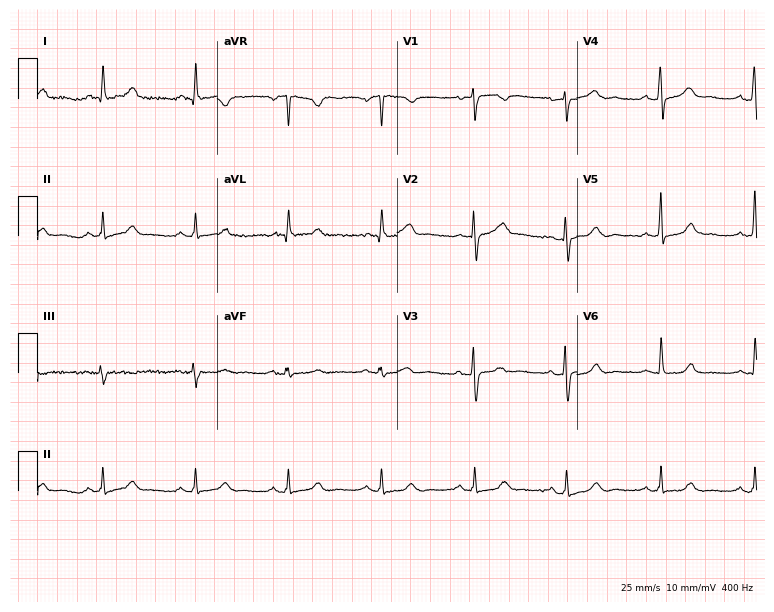
Electrocardiogram (7.3-second recording at 400 Hz), a female patient, 51 years old. Overall reading on record: normal ECG.